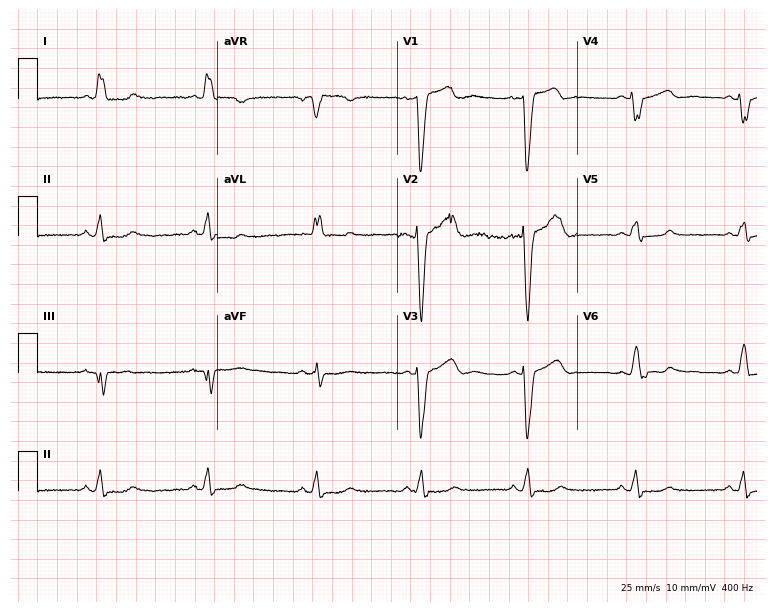
12-lead ECG from a female, 71 years old. Findings include left bundle branch block.